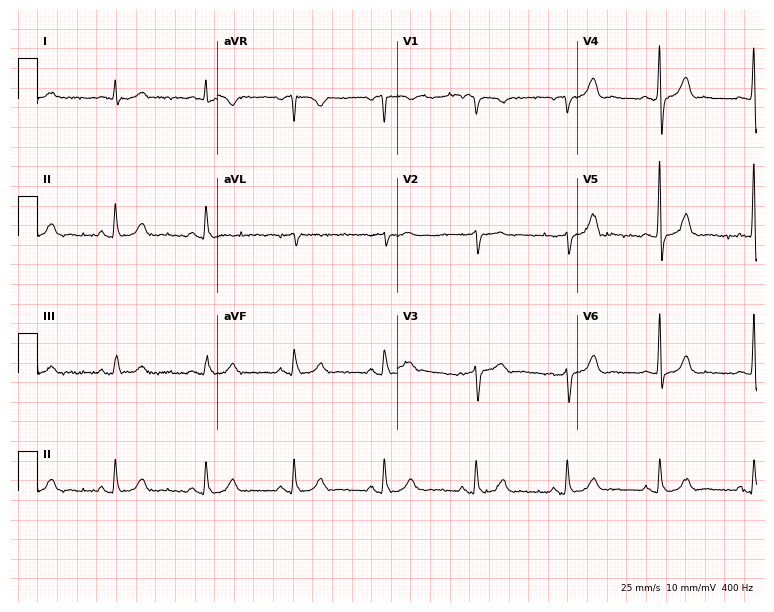
12-lead ECG from a male patient, 66 years old. Recorded interpretation: within normal limits.